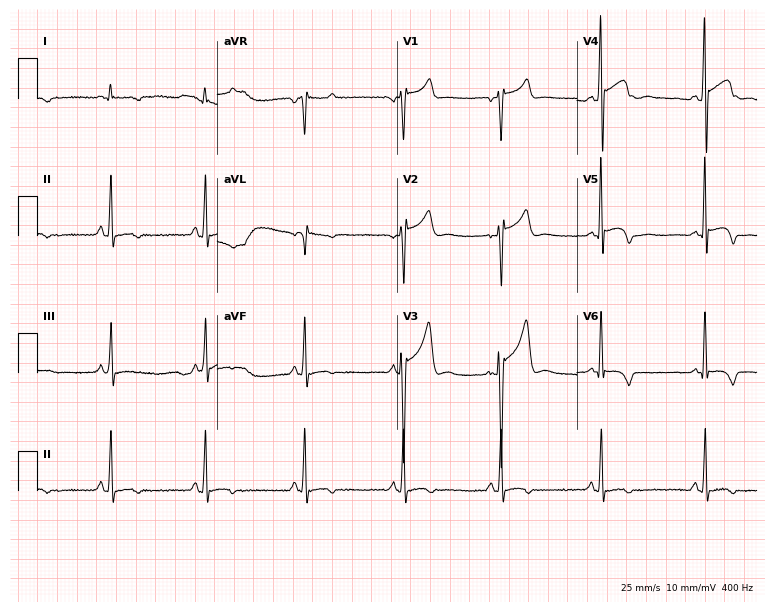
Electrocardiogram, a man, 53 years old. Of the six screened findings (first-degree AV block, right bundle branch block (RBBB), left bundle branch block (LBBB), sinus bradycardia, atrial fibrillation (AF), sinus tachycardia), none is recorded. Findings outside these six are not listed.